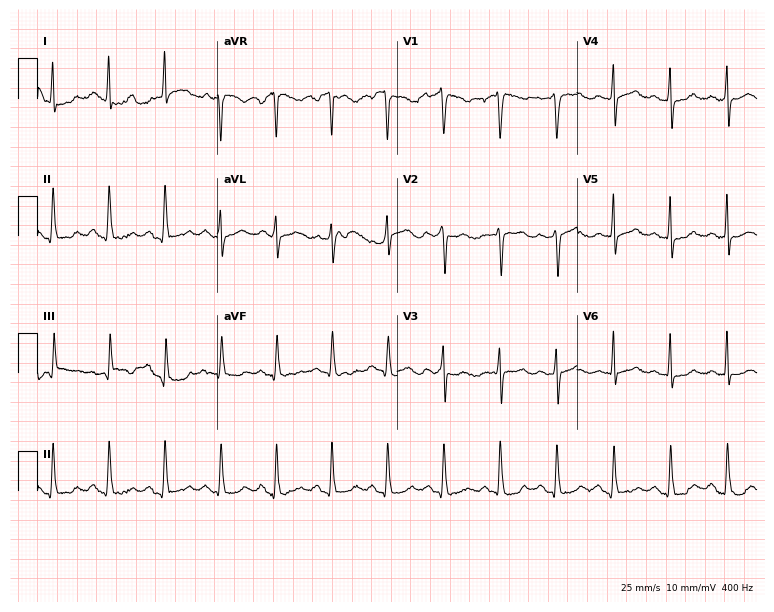
12-lead ECG from a female patient, 47 years old (7.3-second recording at 400 Hz). No first-degree AV block, right bundle branch block (RBBB), left bundle branch block (LBBB), sinus bradycardia, atrial fibrillation (AF) or sinus tachycardia recorded for this tracing. Findings outside these six are not listed.